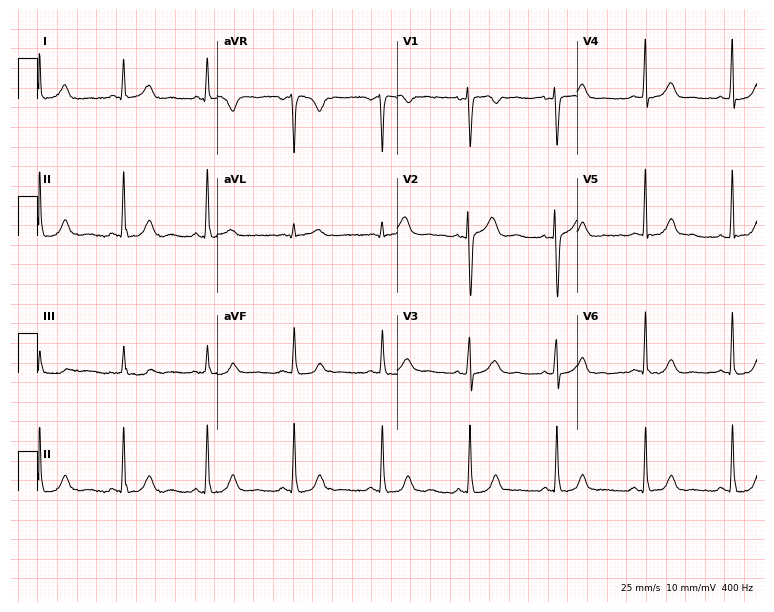
Resting 12-lead electrocardiogram (7.3-second recording at 400 Hz). Patient: a 34-year-old female. None of these six findings is recorded: first-degree AV block, right bundle branch block, left bundle branch block, sinus bradycardia, atrial fibrillation, sinus tachycardia.